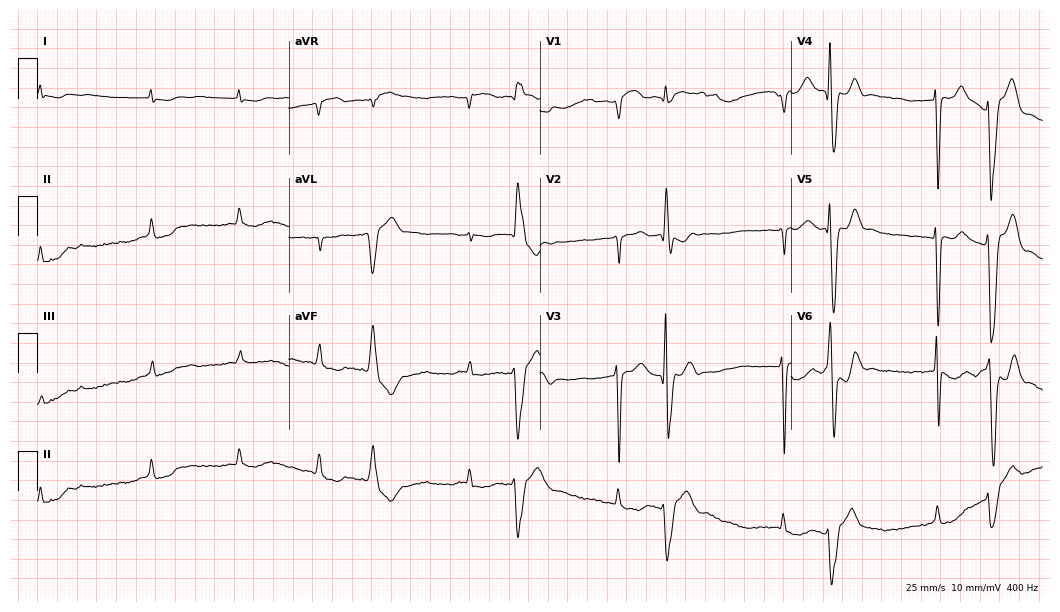
Standard 12-lead ECG recorded from an 82-year-old female patient (10.2-second recording at 400 Hz). The tracing shows atrial fibrillation.